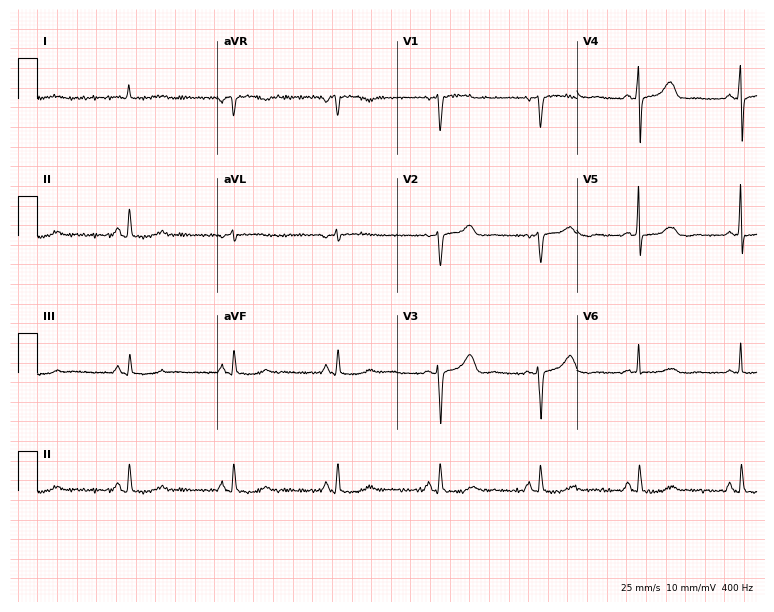
Electrocardiogram (7.3-second recording at 400 Hz), a 75-year-old female patient. Of the six screened findings (first-degree AV block, right bundle branch block, left bundle branch block, sinus bradycardia, atrial fibrillation, sinus tachycardia), none is recorded. Only these six findings were labelled.